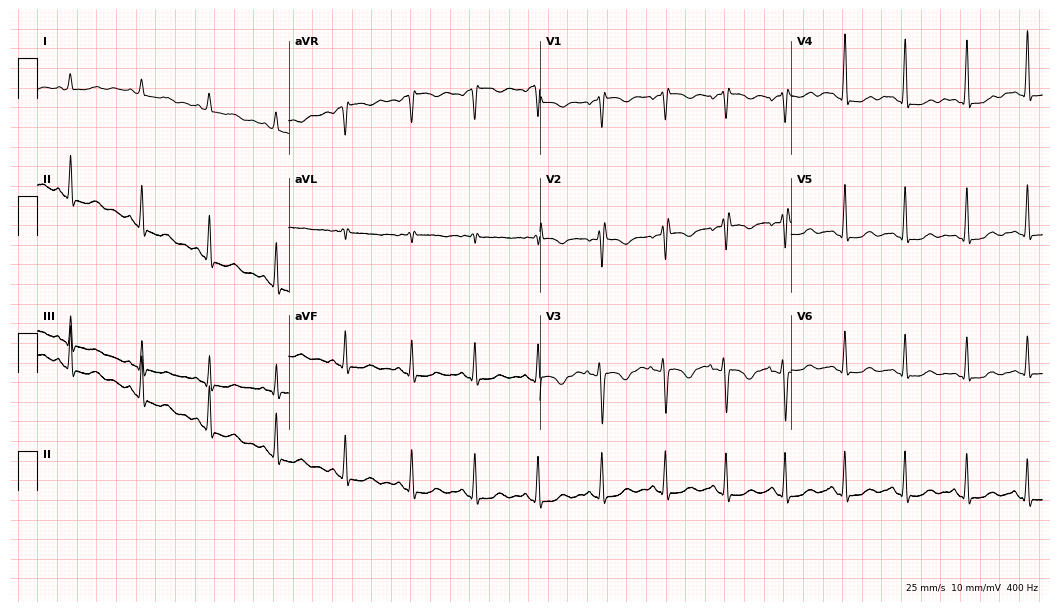
12-lead ECG from a 34-year-old female (10.2-second recording at 400 Hz). No first-degree AV block, right bundle branch block (RBBB), left bundle branch block (LBBB), sinus bradycardia, atrial fibrillation (AF) or sinus tachycardia recorded for this tracing.